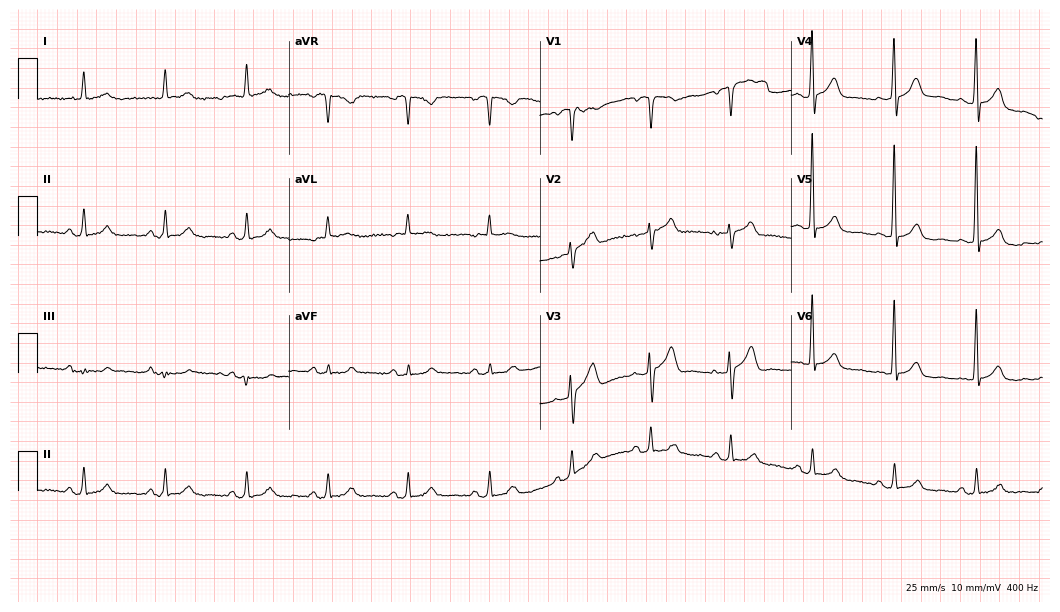
12-lead ECG (10.2-second recording at 400 Hz) from a man, 80 years old. Labelled as a normal ECG.